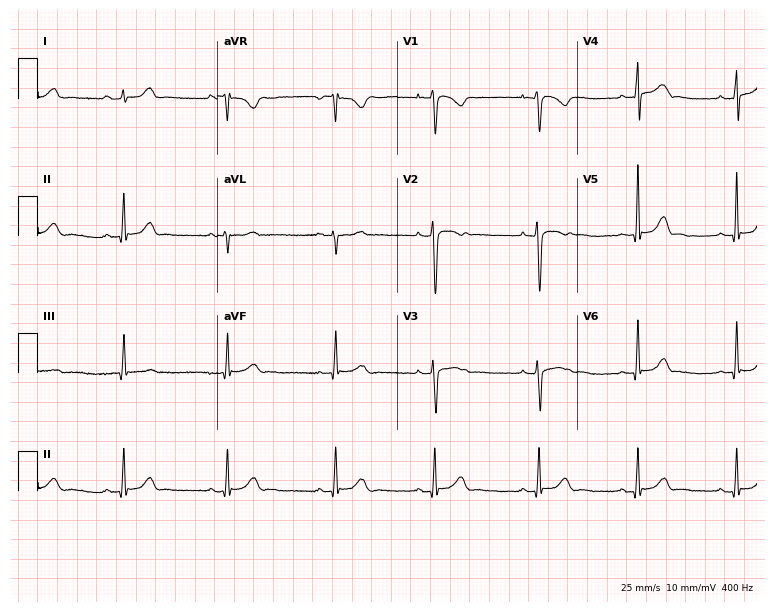
Standard 12-lead ECG recorded from a 17-year-old woman. Read as a normal ECG.